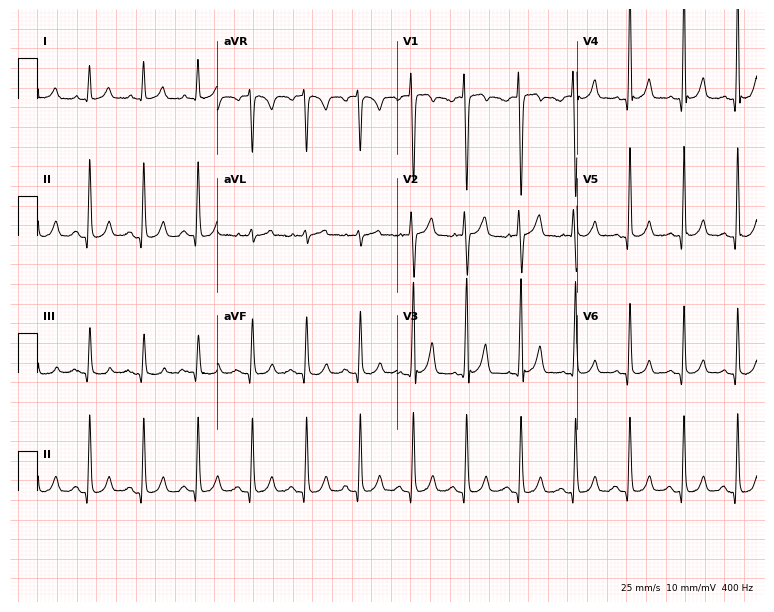
Resting 12-lead electrocardiogram. Patient: a woman, 29 years old. The tracing shows sinus tachycardia (a sinus rate of 100 beats per minute or more).